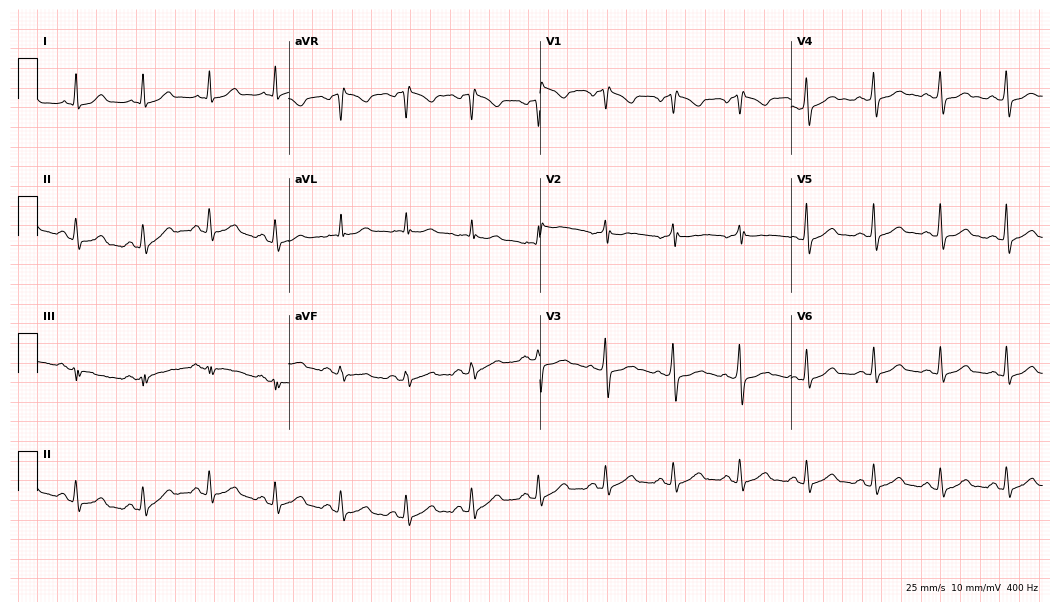
ECG (10.2-second recording at 400 Hz) — a 51-year-old male. Labelled as a normal ECG.